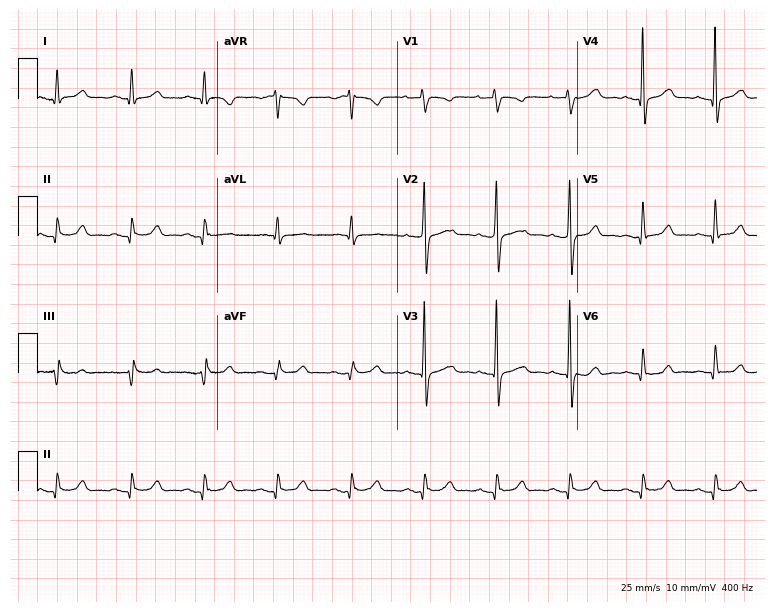
Electrocardiogram (7.3-second recording at 400 Hz), a 52-year-old female patient. Of the six screened findings (first-degree AV block, right bundle branch block (RBBB), left bundle branch block (LBBB), sinus bradycardia, atrial fibrillation (AF), sinus tachycardia), none is recorded. Other findings, if any, are not listed.